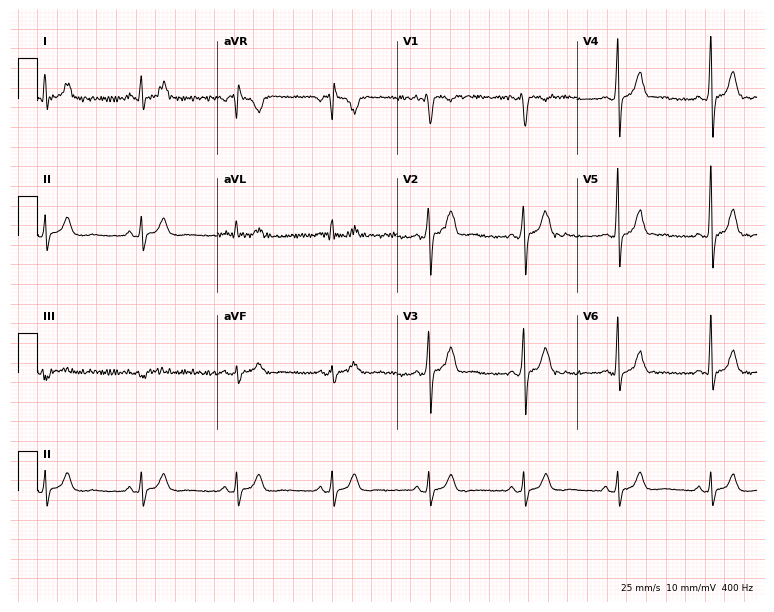
ECG — a male patient, 31 years old. Screened for six findings — first-degree AV block, right bundle branch block, left bundle branch block, sinus bradycardia, atrial fibrillation, sinus tachycardia — none is recorded. Other findings, if any, are not listed.